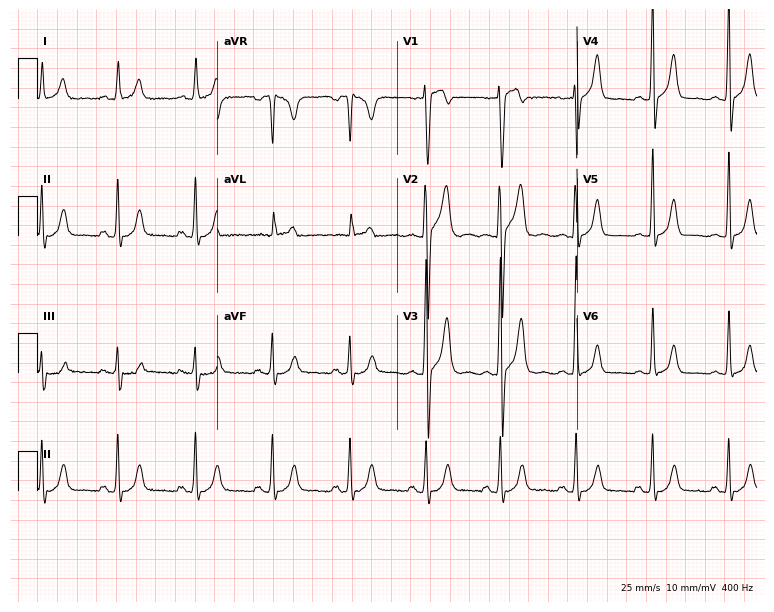
Standard 12-lead ECG recorded from a 21-year-old male. Read as a normal ECG.